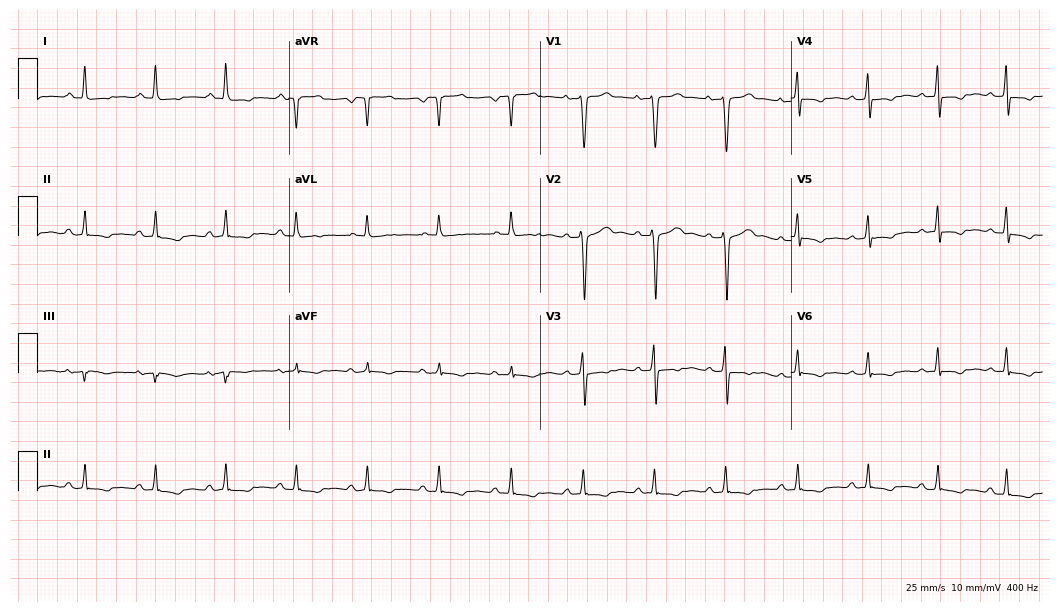
ECG — a man, 32 years old. Screened for six findings — first-degree AV block, right bundle branch block, left bundle branch block, sinus bradycardia, atrial fibrillation, sinus tachycardia — none is recorded. Other findings, if any, are not listed.